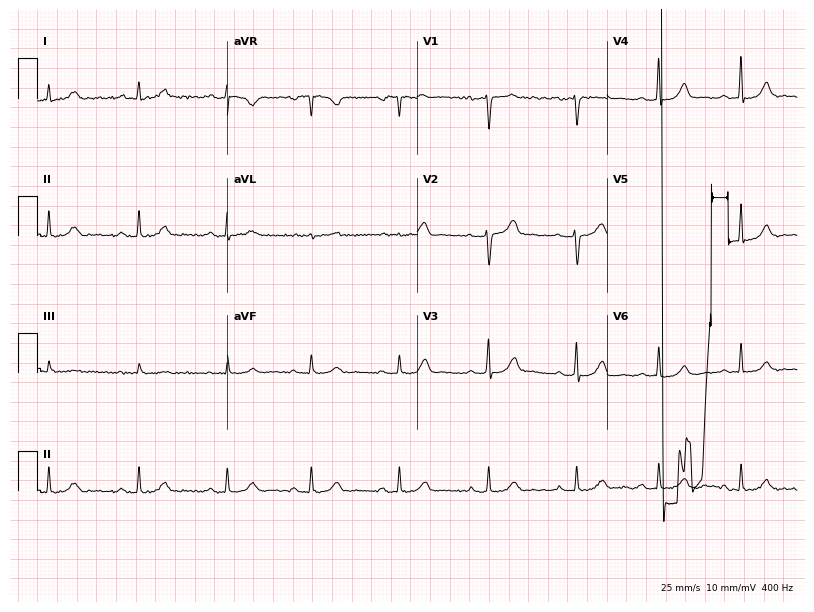
12-lead ECG from a woman, 35 years old (7.7-second recording at 400 Hz). Recorded interpretation: within normal limits.